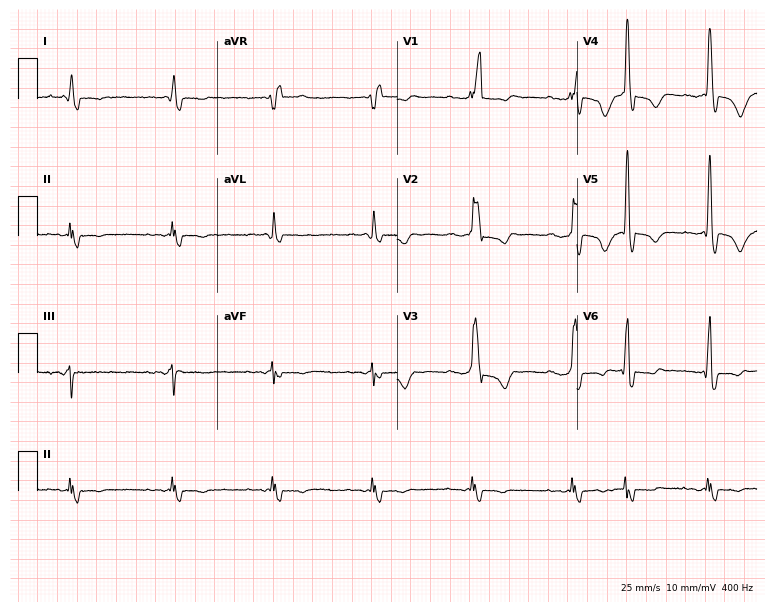
Electrocardiogram, a male, 85 years old. Of the six screened findings (first-degree AV block, right bundle branch block, left bundle branch block, sinus bradycardia, atrial fibrillation, sinus tachycardia), none is recorded.